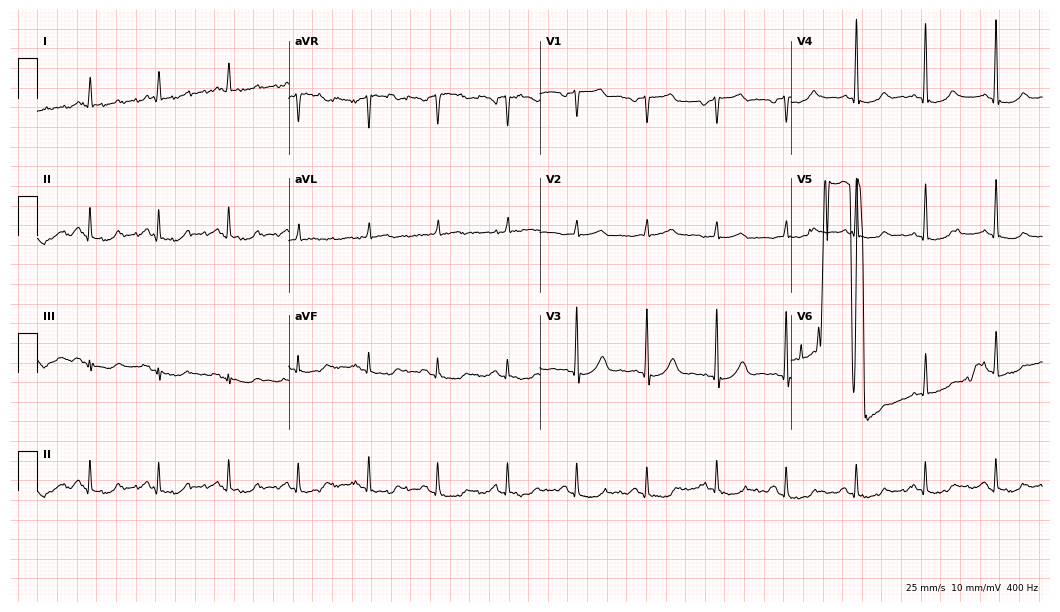
Resting 12-lead electrocardiogram. Patient: a 77-year-old female. None of these six findings is recorded: first-degree AV block, right bundle branch block, left bundle branch block, sinus bradycardia, atrial fibrillation, sinus tachycardia. Findings outside these six are not listed.